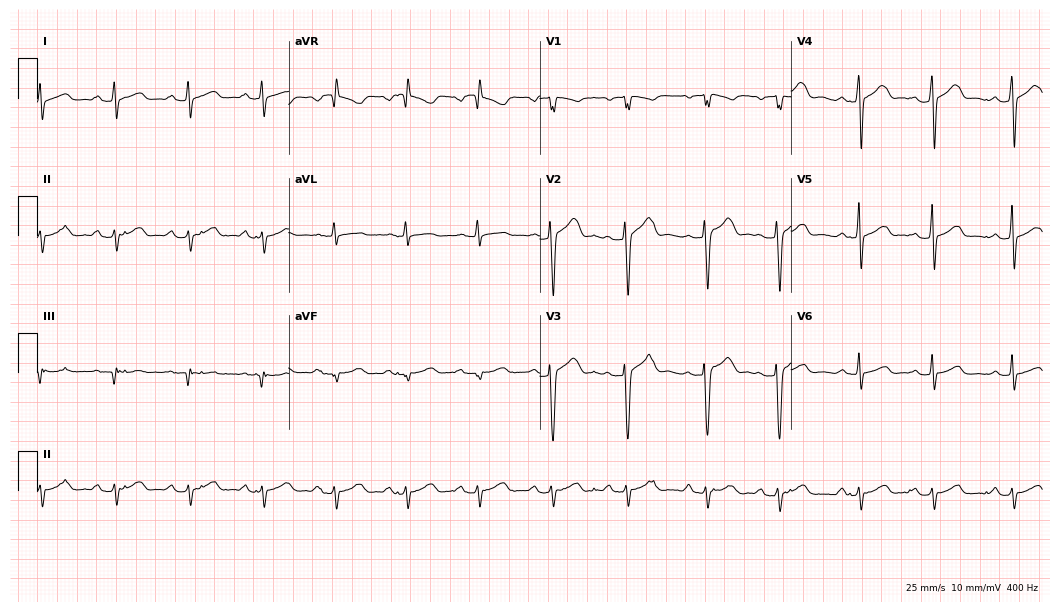
ECG (10.2-second recording at 400 Hz) — a 28-year-old male patient. Screened for six findings — first-degree AV block, right bundle branch block (RBBB), left bundle branch block (LBBB), sinus bradycardia, atrial fibrillation (AF), sinus tachycardia — none is recorded. Only these six findings were labelled.